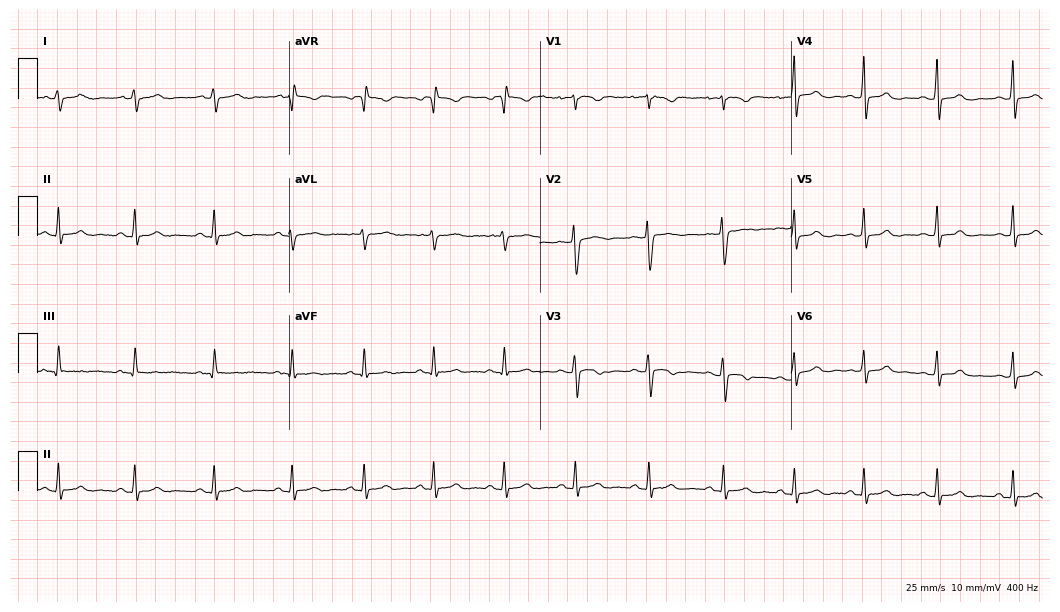
Resting 12-lead electrocardiogram. Patient: a woman, 32 years old. None of these six findings is recorded: first-degree AV block, right bundle branch block, left bundle branch block, sinus bradycardia, atrial fibrillation, sinus tachycardia.